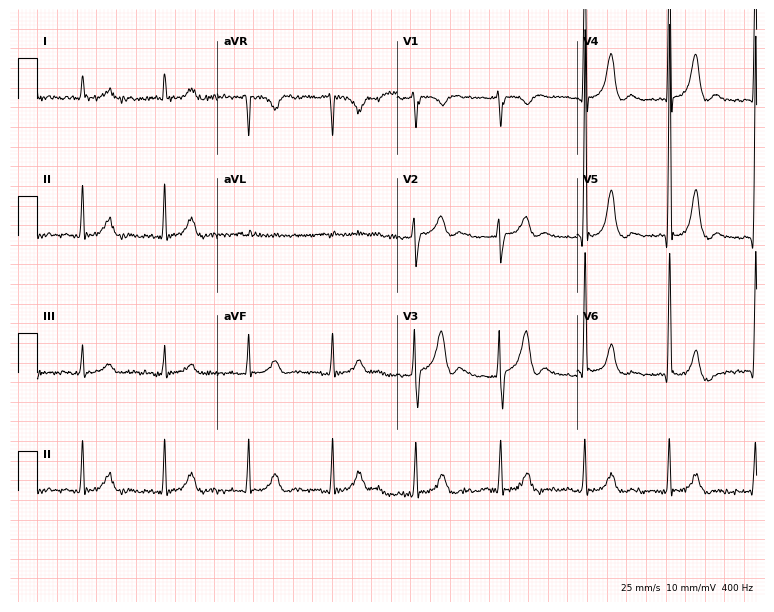
12-lead ECG (7.3-second recording at 400 Hz) from a 78-year-old man. Screened for six findings — first-degree AV block, right bundle branch block, left bundle branch block, sinus bradycardia, atrial fibrillation, sinus tachycardia — none is recorded.